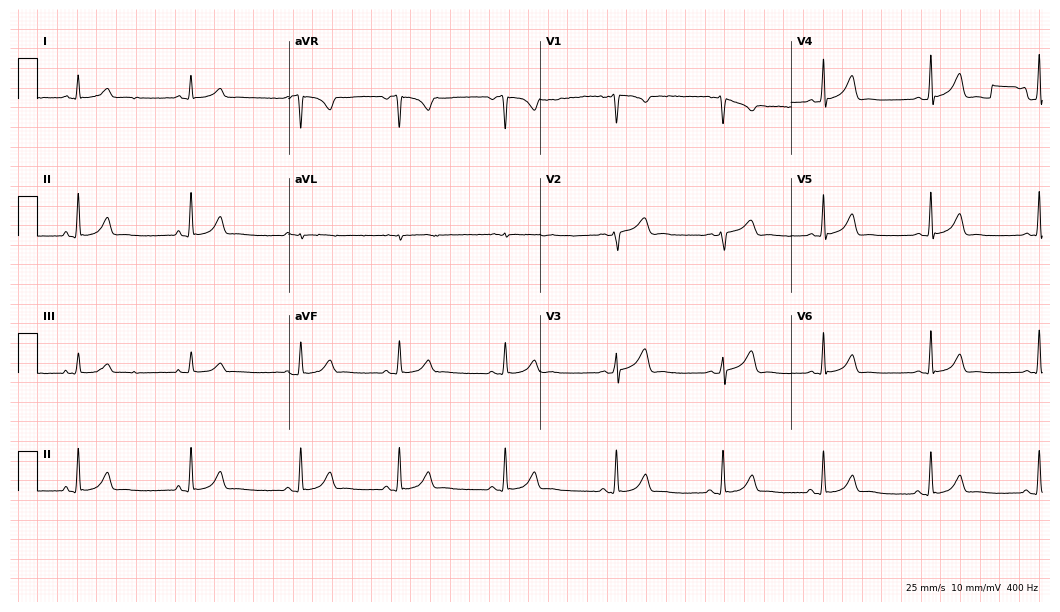
Standard 12-lead ECG recorded from a female, 30 years old (10.2-second recording at 400 Hz). Read as a normal ECG.